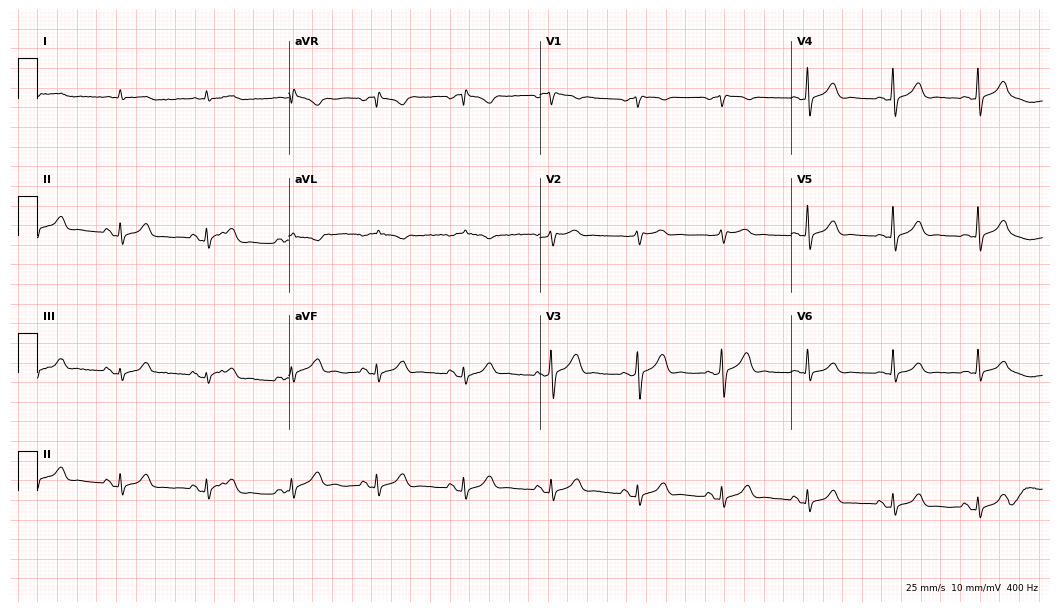
Resting 12-lead electrocardiogram (10.2-second recording at 400 Hz). Patient: a male, 78 years old. None of these six findings is recorded: first-degree AV block, right bundle branch block, left bundle branch block, sinus bradycardia, atrial fibrillation, sinus tachycardia. Only these six findings were labelled.